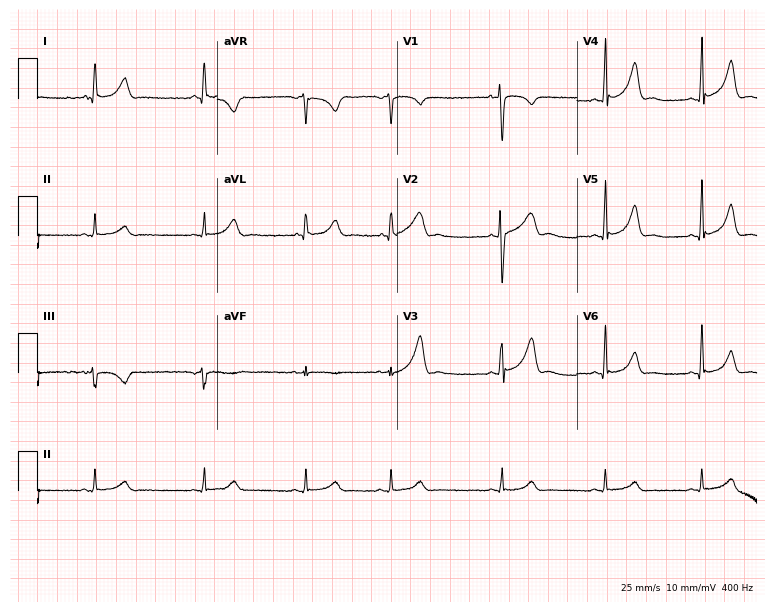
Standard 12-lead ECG recorded from a 20-year-old female (7.3-second recording at 400 Hz). Read as a normal ECG.